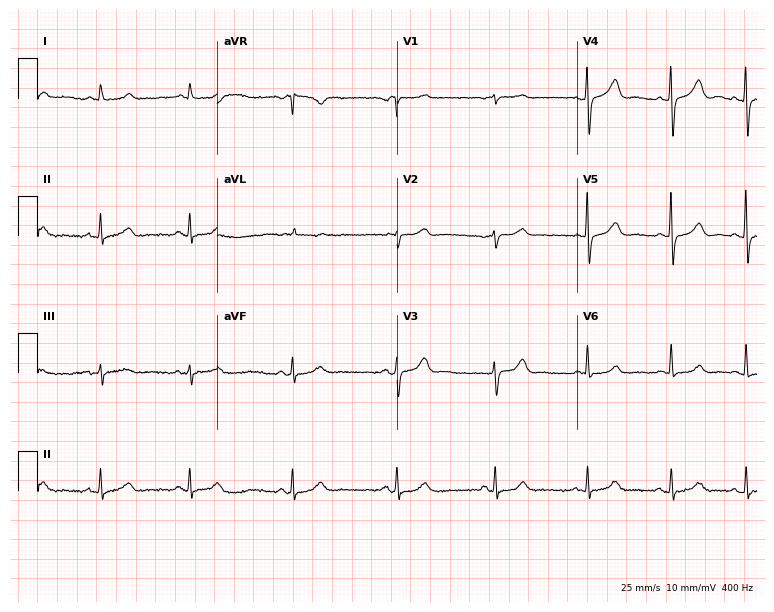
Resting 12-lead electrocardiogram. Patient: an 80-year-old male. Read as a normal ECG.